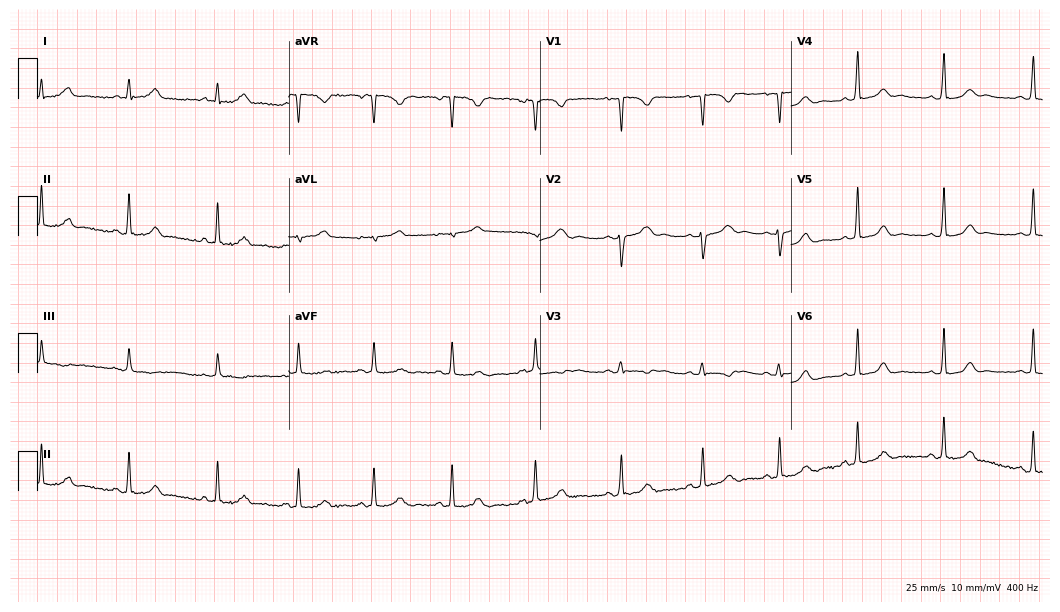
12-lead ECG (10.2-second recording at 400 Hz) from a female, 21 years old. Labelled as a normal ECG.